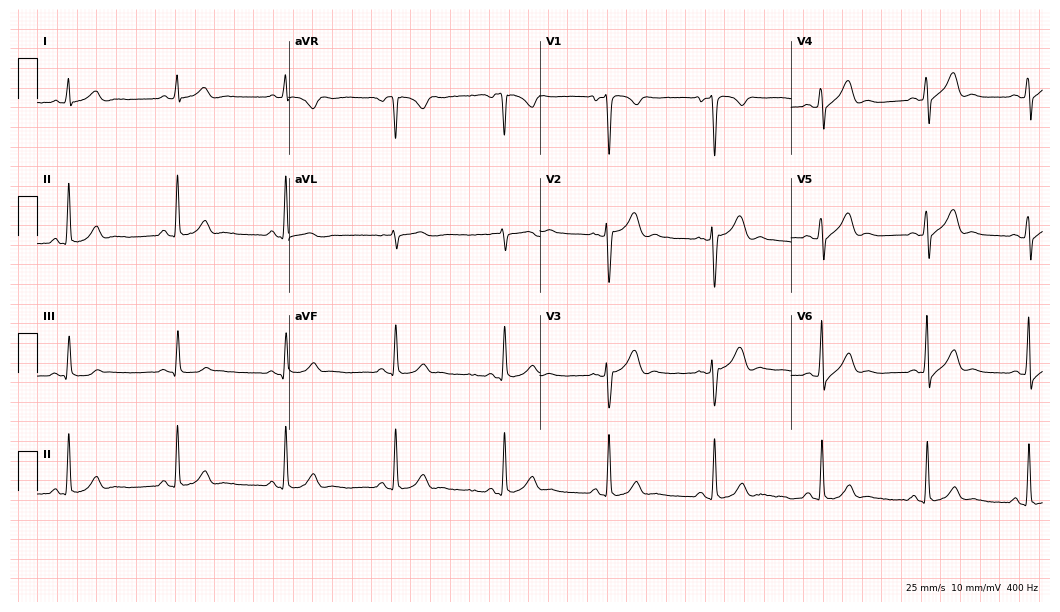
12-lead ECG from a 38-year-old man. Labelled as a normal ECG.